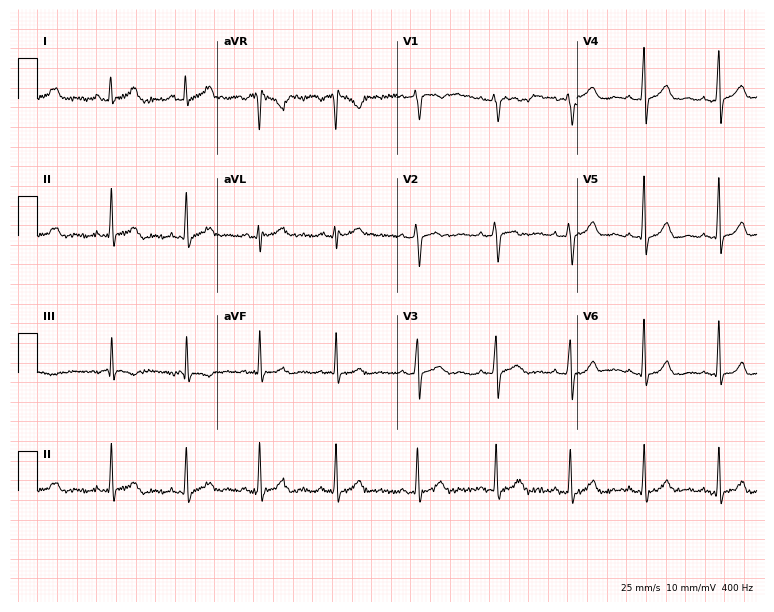
ECG (7.3-second recording at 400 Hz) — a female patient, 36 years old. Labelled as a normal ECG.